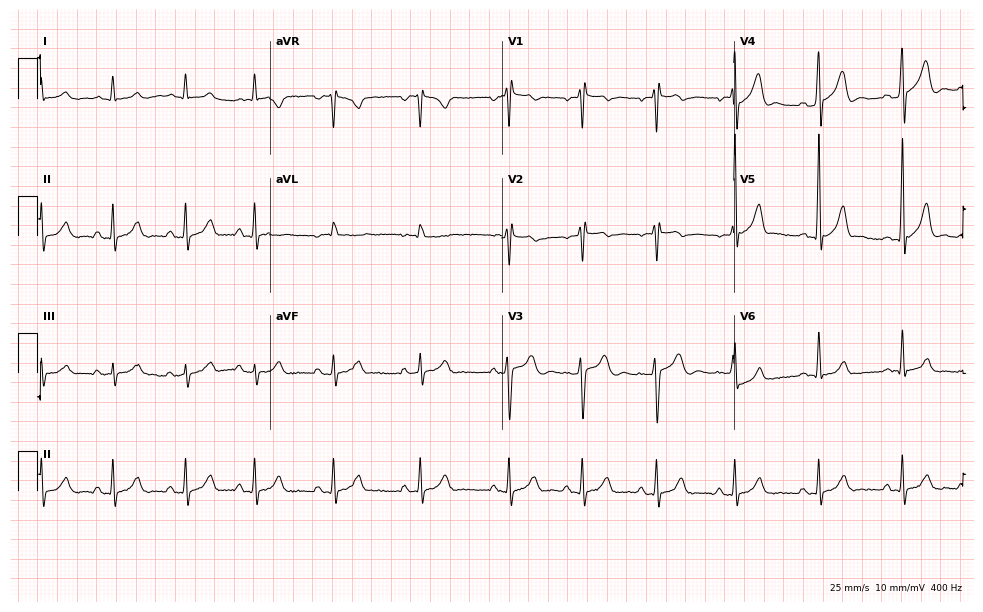
Resting 12-lead electrocardiogram (9.5-second recording at 400 Hz). Patient: a 30-year-old male. None of these six findings is recorded: first-degree AV block, right bundle branch block, left bundle branch block, sinus bradycardia, atrial fibrillation, sinus tachycardia.